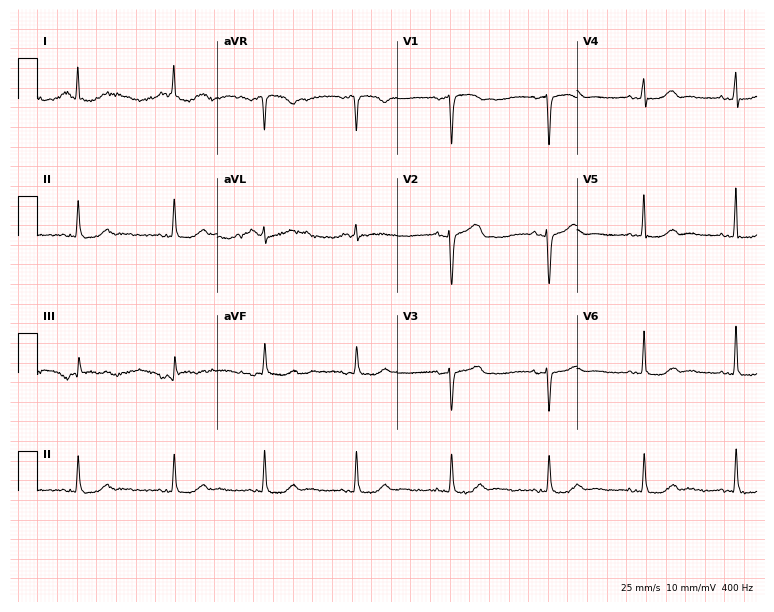
ECG — a 58-year-old female patient. Labelled as a normal ECG.